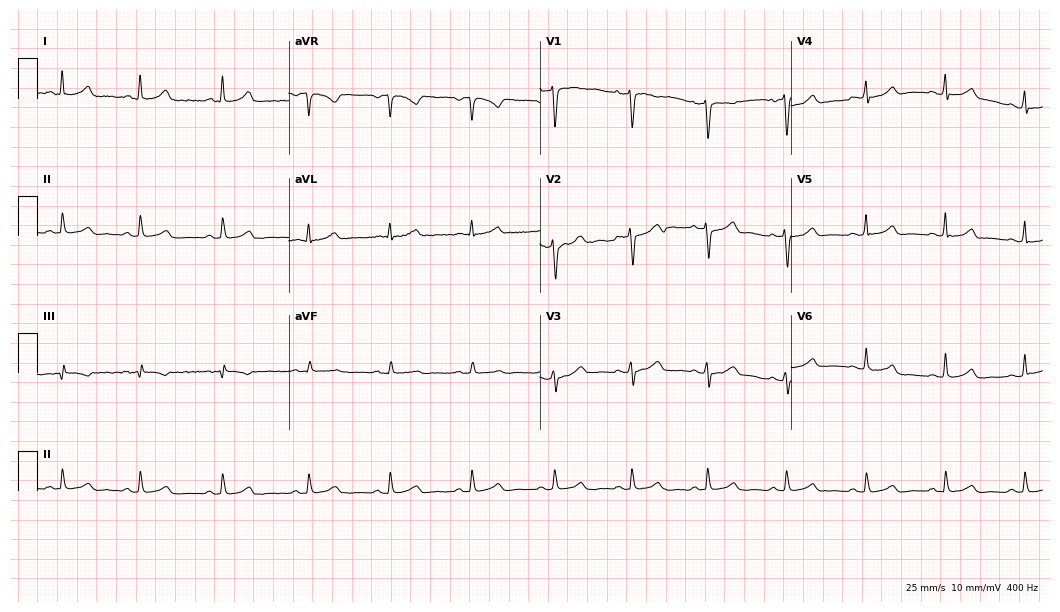
Resting 12-lead electrocardiogram (10.2-second recording at 400 Hz). Patient: a 33-year-old woman. Read as a normal ECG.